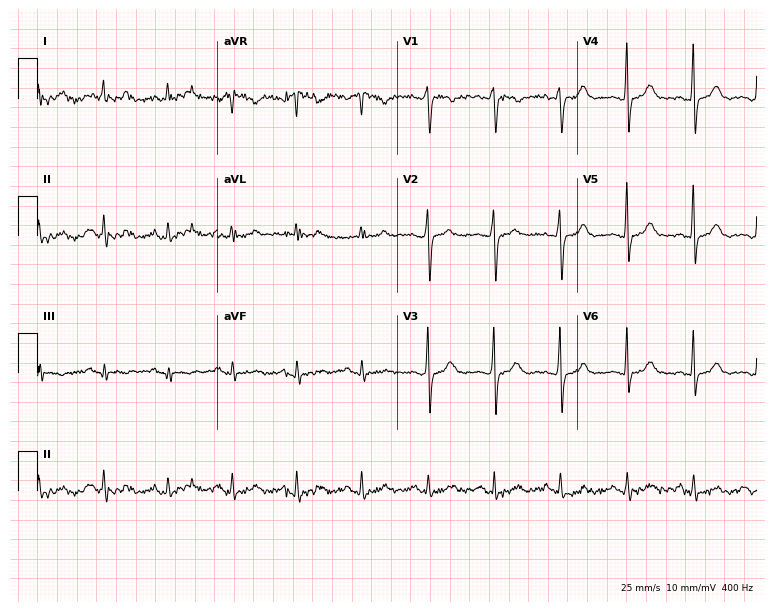
ECG (7.3-second recording at 400 Hz) — a 32-year-old female patient. Labelled as a normal ECG.